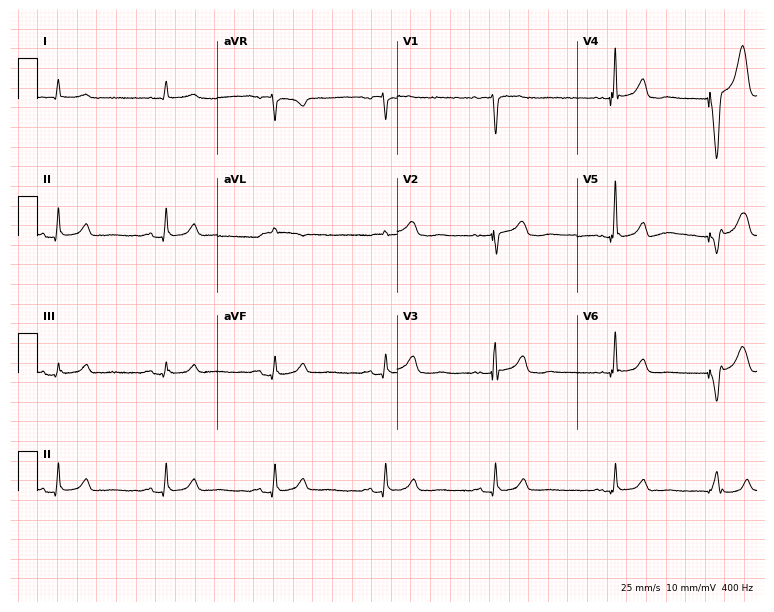
Electrocardiogram, a male patient, 52 years old. Of the six screened findings (first-degree AV block, right bundle branch block, left bundle branch block, sinus bradycardia, atrial fibrillation, sinus tachycardia), none is recorded.